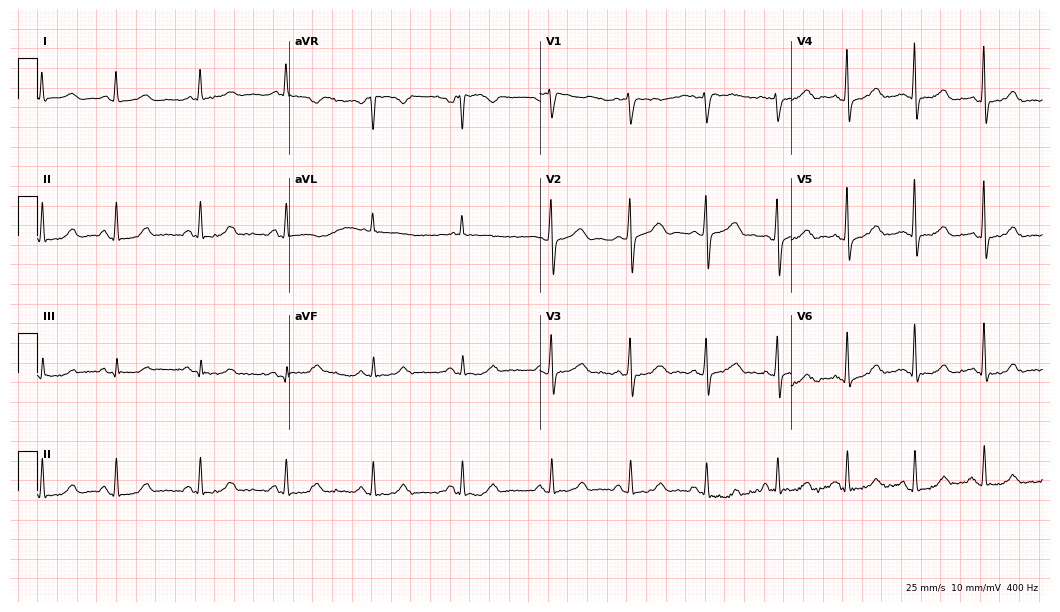
12-lead ECG (10.2-second recording at 400 Hz) from a 37-year-old female patient. Screened for six findings — first-degree AV block, right bundle branch block (RBBB), left bundle branch block (LBBB), sinus bradycardia, atrial fibrillation (AF), sinus tachycardia — none is recorded.